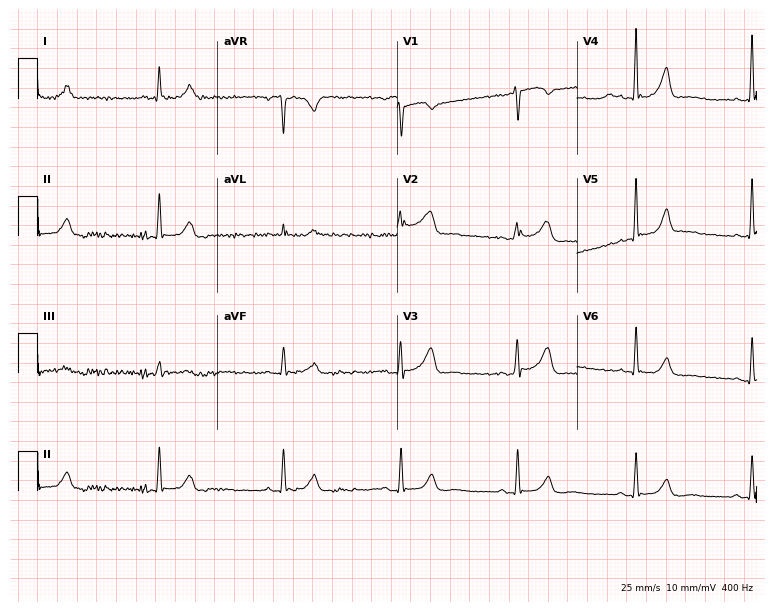
Electrocardiogram, a 64-year-old woman. Of the six screened findings (first-degree AV block, right bundle branch block, left bundle branch block, sinus bradycardia, atrial fibrillation, sinus tachycardia), none is recorded.